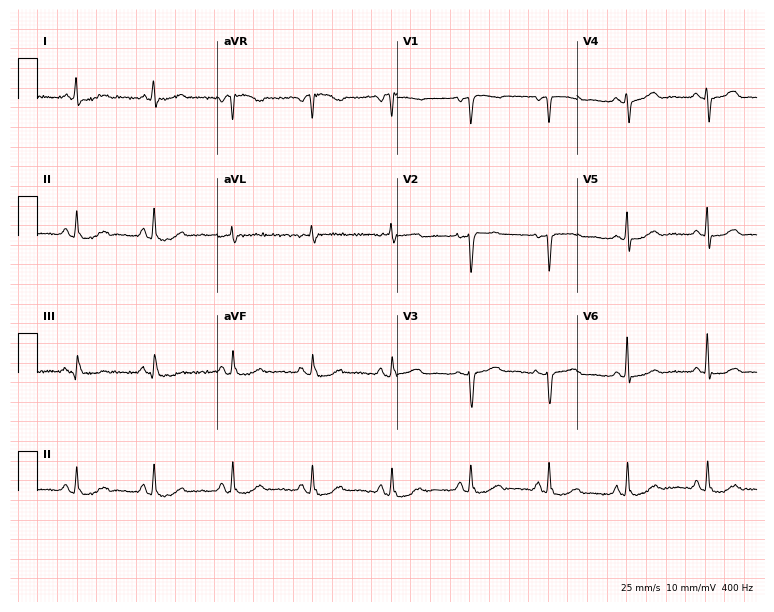
12-lead ECG from a 53-year-old female patient. Screened for six findings — first-degree AV block, right bundle branch block (RBBB), left bundle branch block (LBBB), sinus bradycardia, atrial fibrillation (AF), sinus tachycardia — none is recorded. Other findings, if any, are not listed.